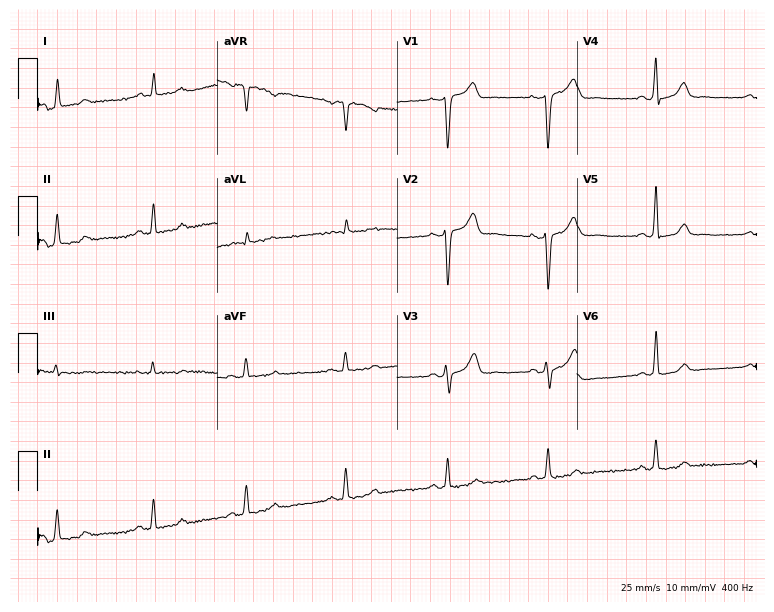
Electrocardiogram (7.3-second recording at 400 Hz), a woman, 48 years old. Of the six screened findings (first-degree AV block, right bundle branch block (RBBB), left bundle branch block (LBBB), sinus bradycardia, atrial fibrillation (AF), sinus tachycardia), none is recorded.